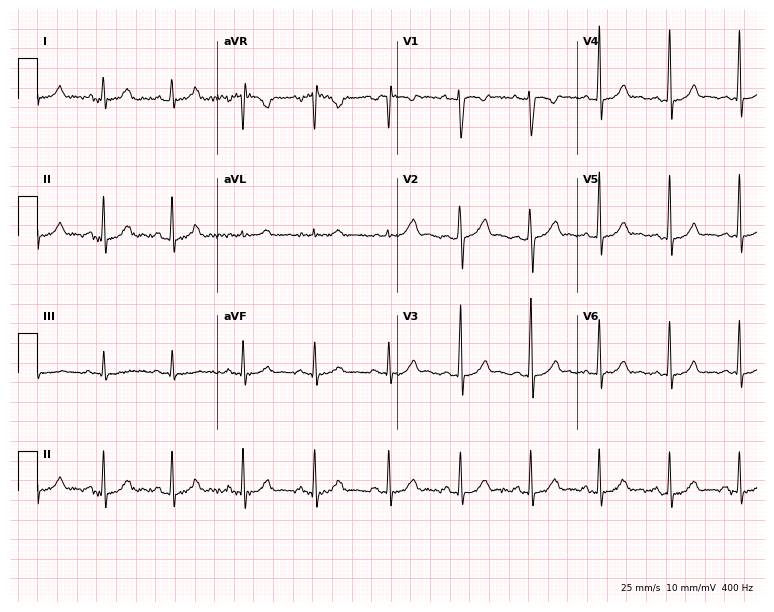
Standard 12-lead ECG recorded from an 18-year-old woman. Read as a normal ECG.